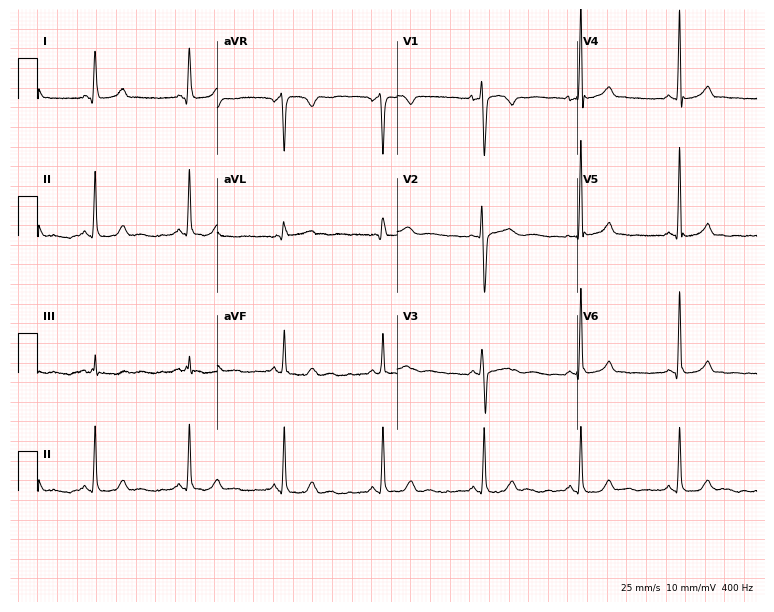
Standard 12-lead ECG recorded from a 25-year-old female (7.3-second recording at 400 Hz). Read as a normal ECG.